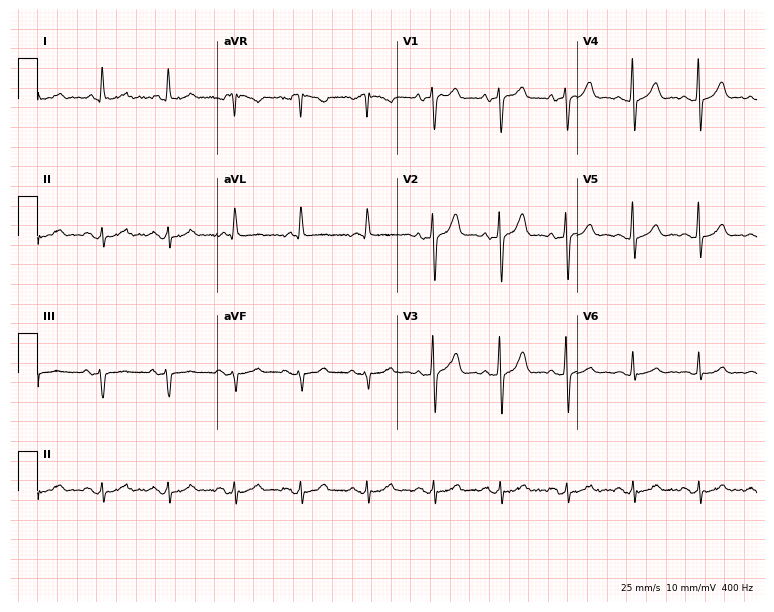
Resting 12-lead electrocardiogram. Patient: a 67-year-old male. Read as a normal ECG.